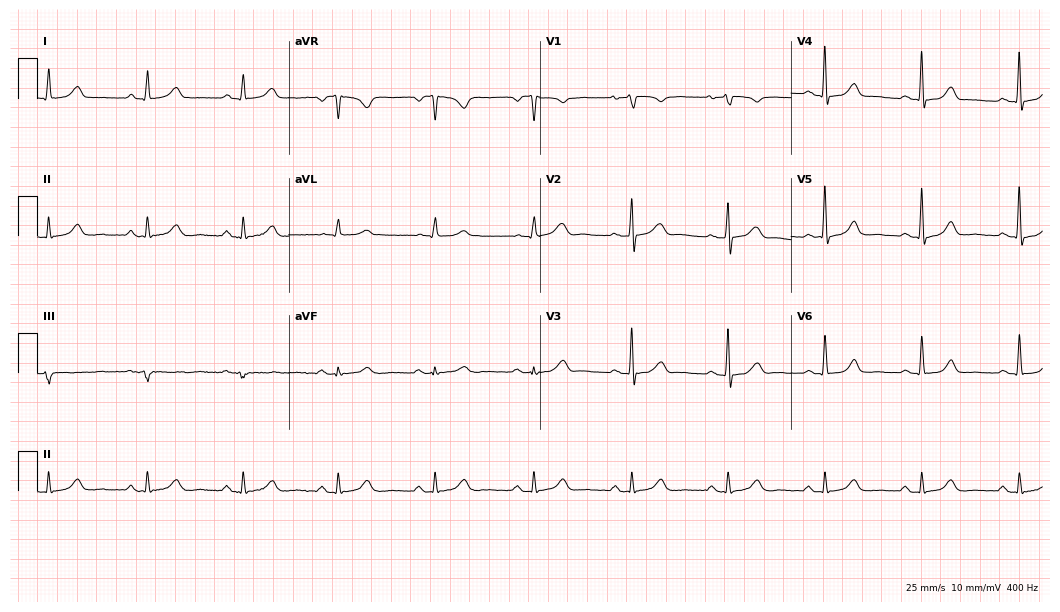
12-lead ECG from a female patient, 53 years old. Recorded interpretation: within normal limits.